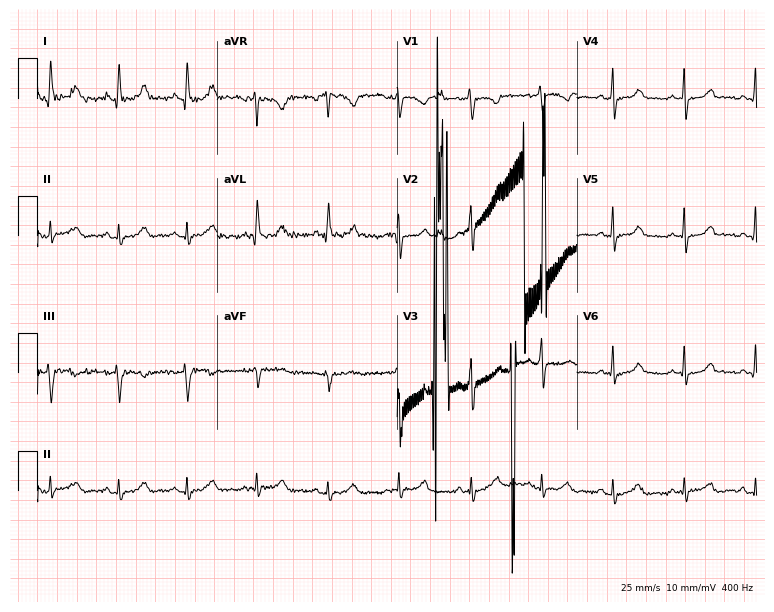
12-lead ECG from a female, 39 years old (7.3-second recording at 400 Hz). No first-degree AV block, right bundle branch block, left bundle branch block, sinus bradycardia, atrial fibrillation or sinus tachycardia recorded for this tracing.